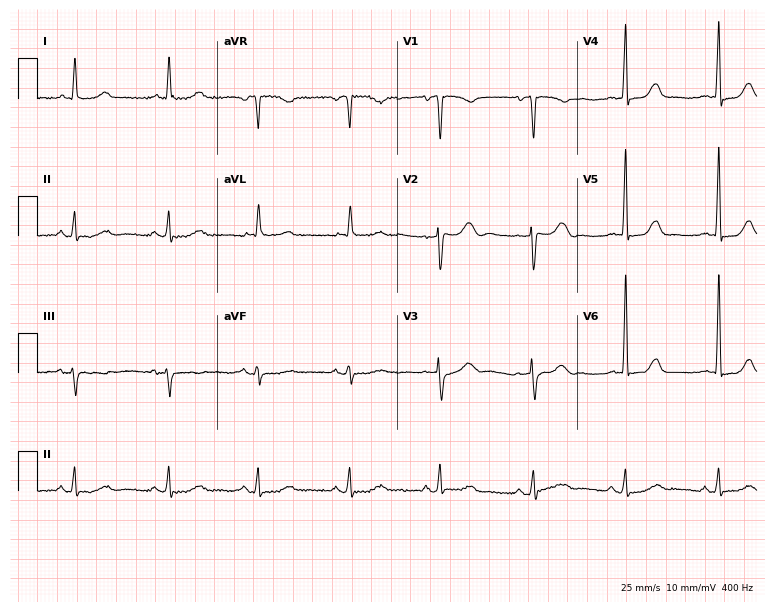
12-lead ECG (7.3-second recording at 400 Hz) from a 62-year-old male. Screened for six findings — first-degree AV block, right bundle branch block, left bundle branch block, sinus bradycardia, atrial fibrillation, sinus tachycardia — none is recorded. Only these six findings were labelled.